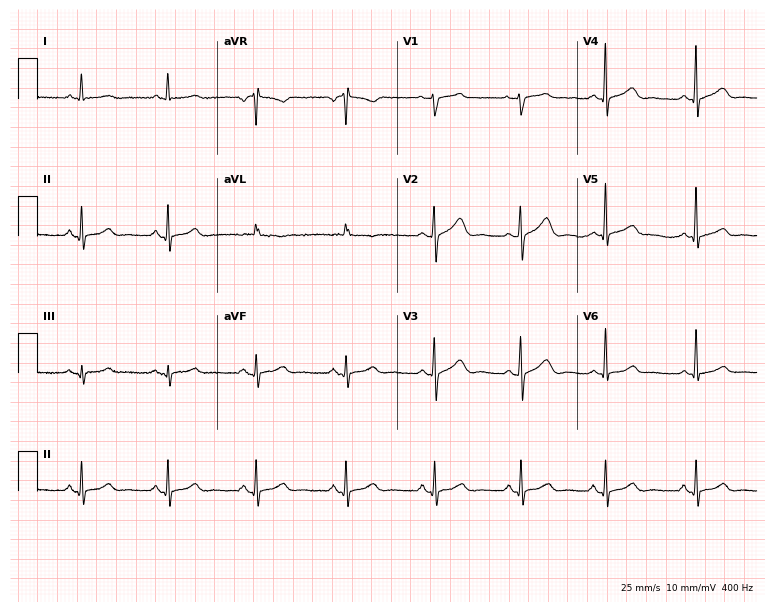
ECG — a 57-year-old woman. Labelled as a normal ECG.